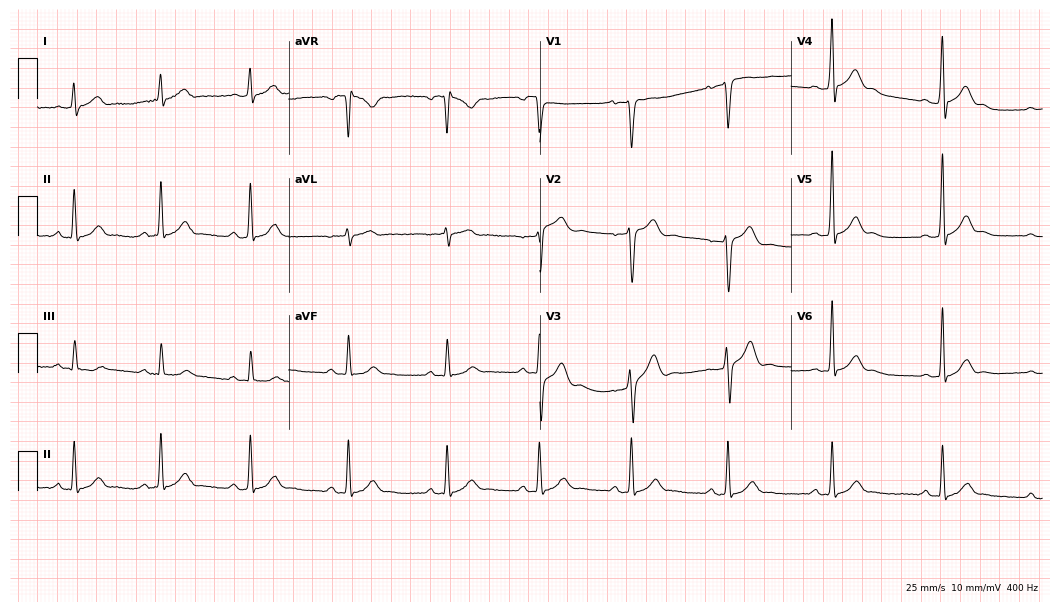
Standard 12-lead ECG recorded from a 29-year-old man. Read as a normal ECG.